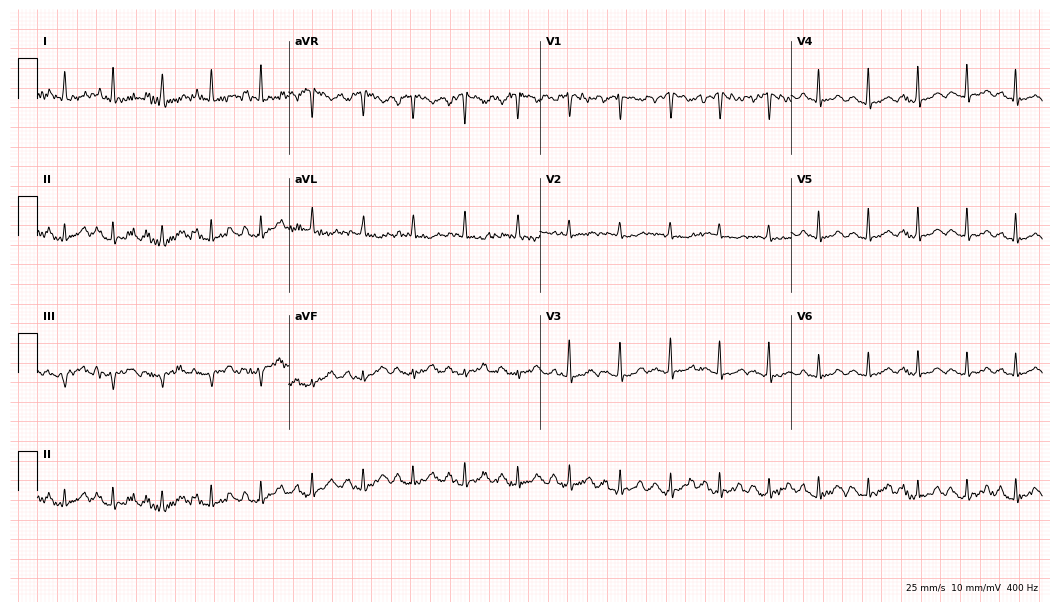
Resting 12-lead electrocardiogram. Patient: a 41-year-old female. The tracing shows sinus tachycardia (a sinus rate of 100 beats per minute or more).